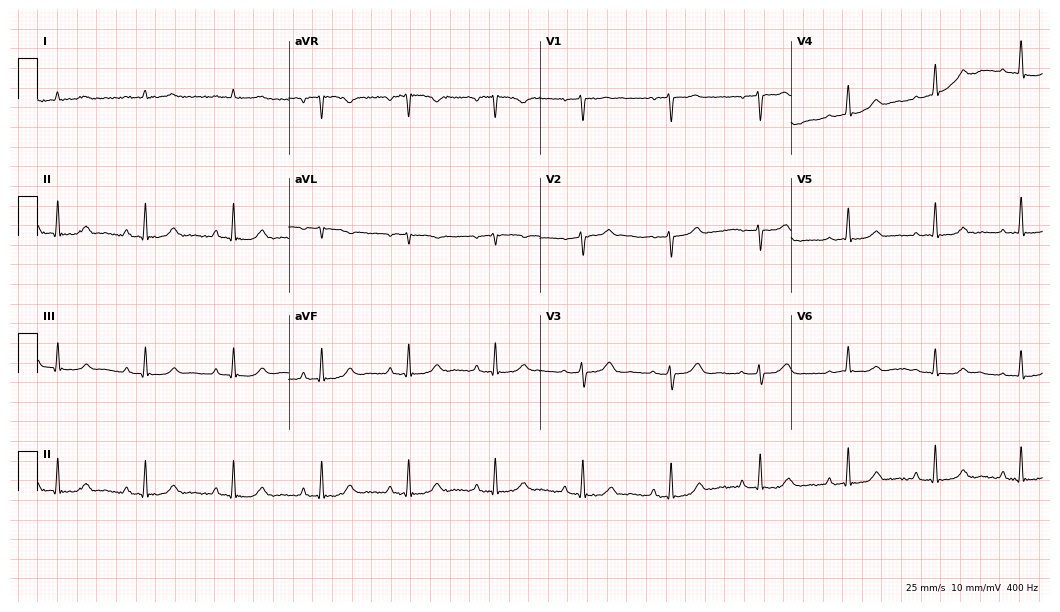
Standard 12-lead ECG recorded from a woman, 44 years old. None of these six findings is recorded: first-degree AV block, right bundle branch block, left bundle branch block, sinus bradycardia, atrial fibrillation, sinus tachycardia.